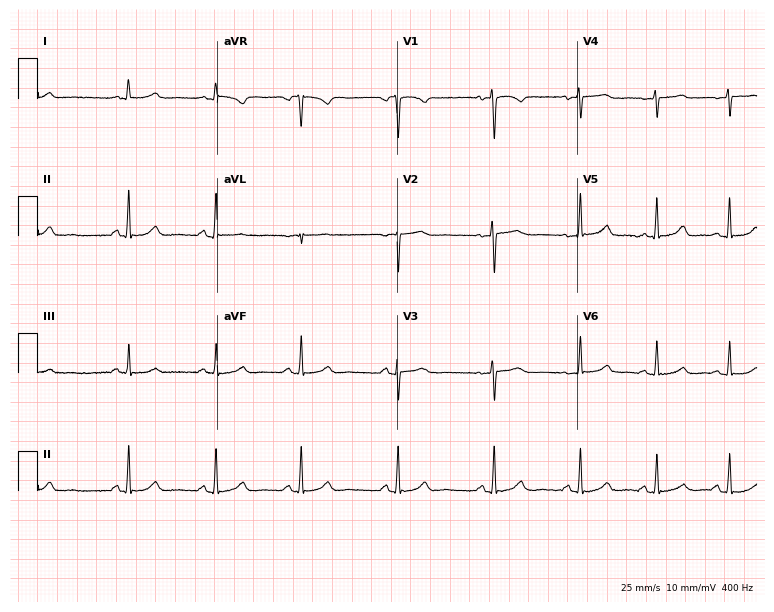
Electrocardiogram, a woman, 26 years old. Of the six screened findings (first-degree AV block, right bundle branch block, left bundle branch block, sinus bradycardia, atrial fibrillation, sinus tachycardia), none is recorded.